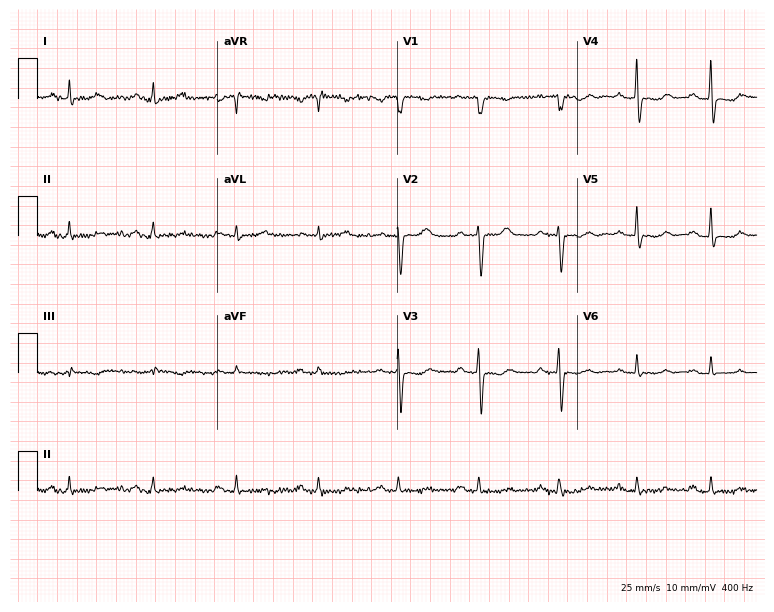
Electrocardiogram (7.3-second recording at 400 Hz), a 56-year-old woman. Of the six screened findings (first-degree AV block, right bundle branch block (RBBB), left bundle branch block (LBBB), sinus bradycardia, atrial fibrillation (AF), sinus tachycardia), none is recorded.